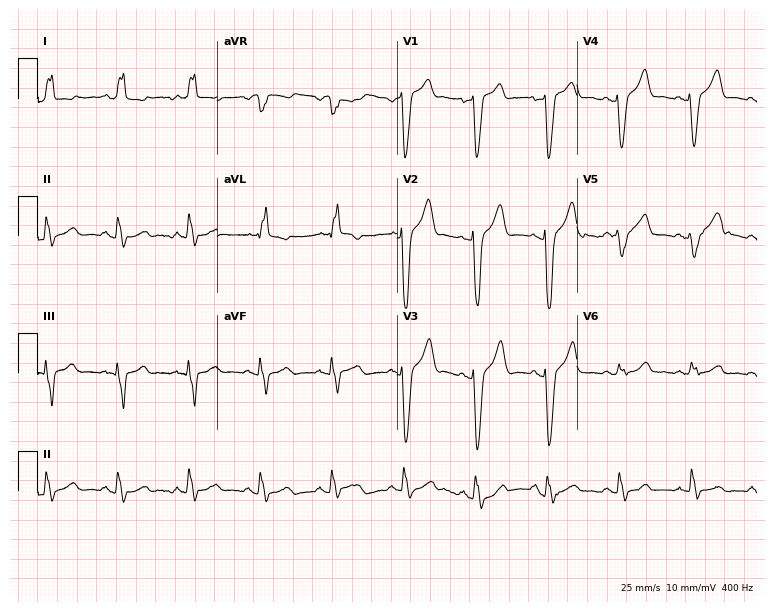
ECG — a male patient, 65 years old. Findings include left bundle branch block (LBBB).